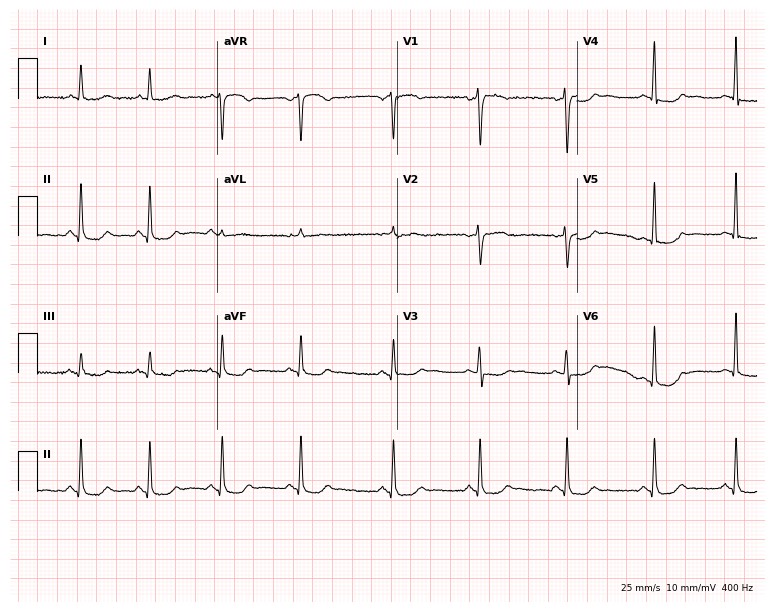
12-lead ECG (7.3-second recording at 400 Hz) from a 39-year-old woman. Screened for six findings — first-degree AV block, right bundle branch block, left bundle branch block, sinus bradycardia, atrial fibrillation, sinus tachycardia — none is recorded.